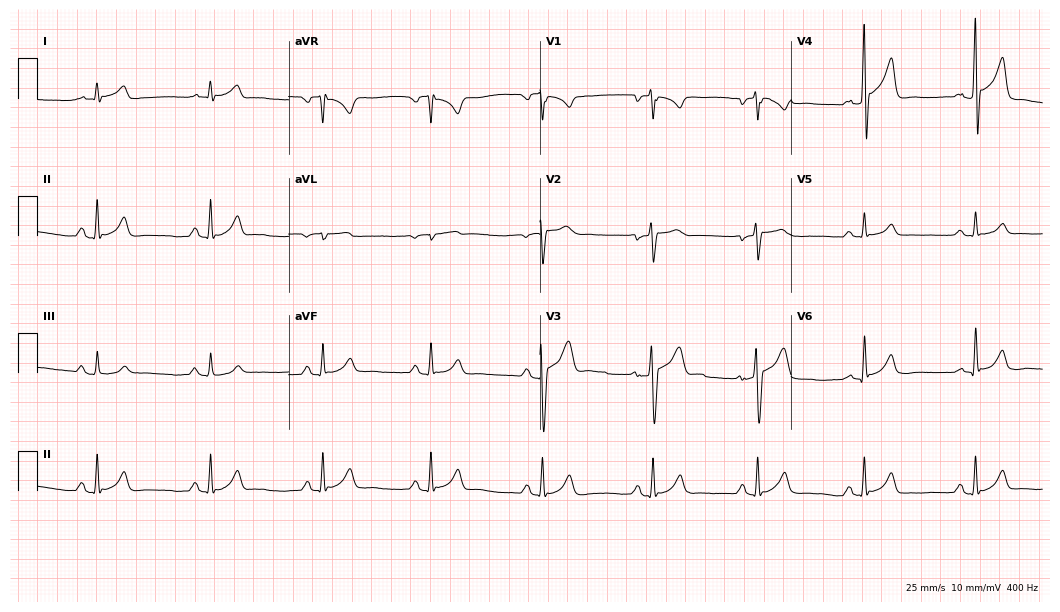
12-lead ECG from a man, 36 years old. No first-degree AV block, right bundle branch block, left bundle branch block, sinus bradycardia, atrial fibrillation or sinus tachycardia recorded for this tracing. Other findings, if any, are not listed.